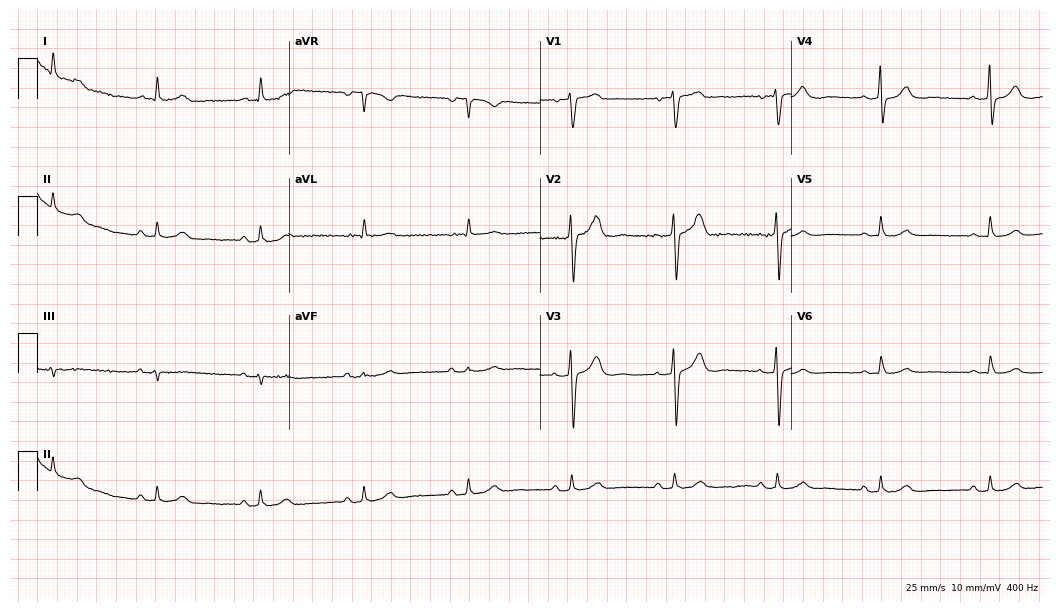
ECG (10.2-second recording at 400 Hz) — an 80-year-old man. Screened for six findings — first-degree AV block, right bundle branch block (RBBB), left bundle branch block (LBBB), sinus bradycardia, atrial fibrillation (AF), sinus tachycardia — none is recorded.